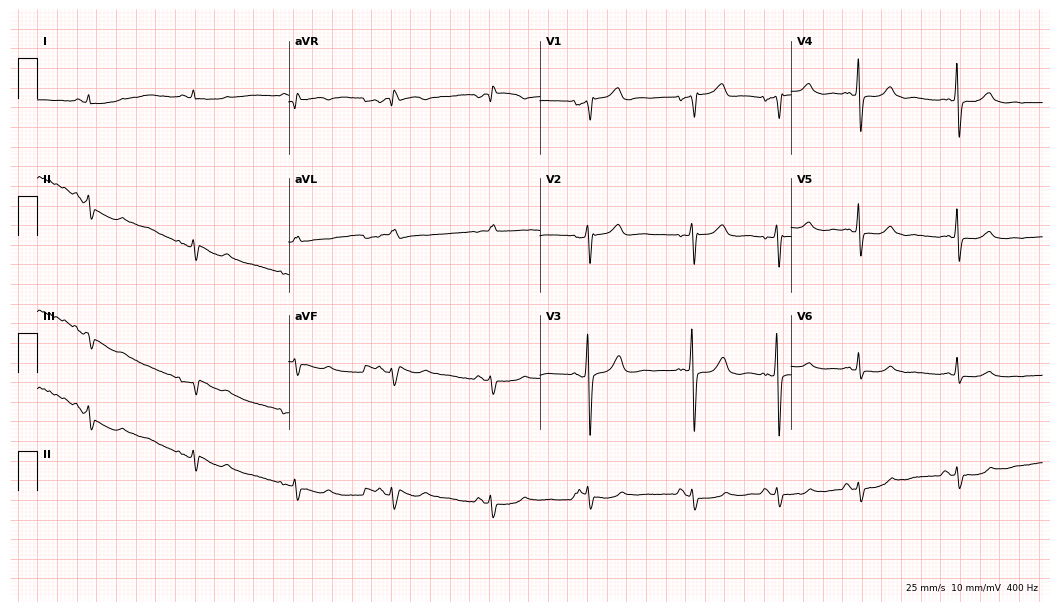
Electrocardiogram, a 78-year-old male. Of the six screened findings (first-degree AV block, right bundle branch block, left bundle branch block, sinus bradycardia, atrial fibrillation, sinus tachycardia), none is recorded. Only these six findings were labelled.